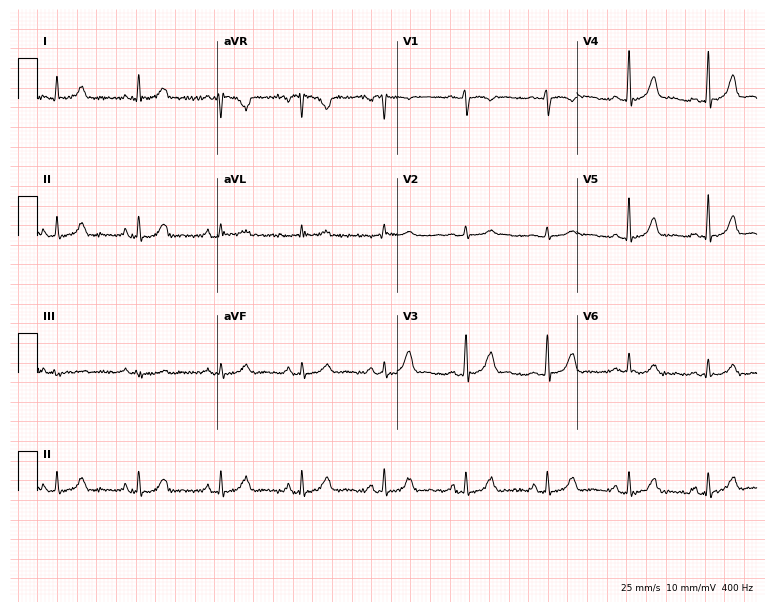
12-lead ECG from a female patient, 43 years old (7.3-second recording at 400 Hz). Recorded interpretation: within normal limits.